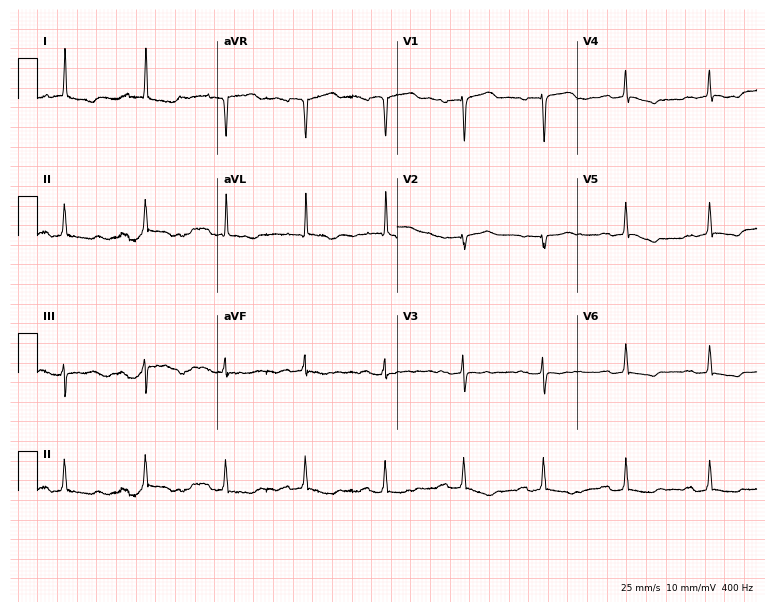
Electrocardiogram, a 70-year-old female. Of the six screened findings (first-degree AV block, right bundle branch block, left bundle branch block, sinus bradycardia, atrial fibrillation, sinus tachycardia), none is recorded. Findings outside these six are not listed.